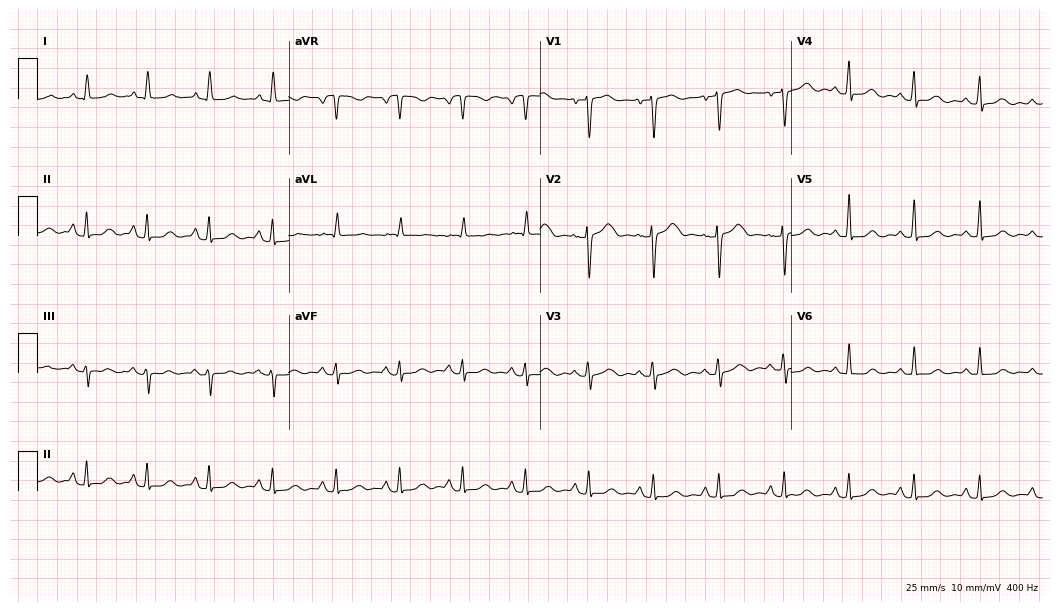
12-lead ECG from a female patient, 58 years old. Labelled as a normal ECG.